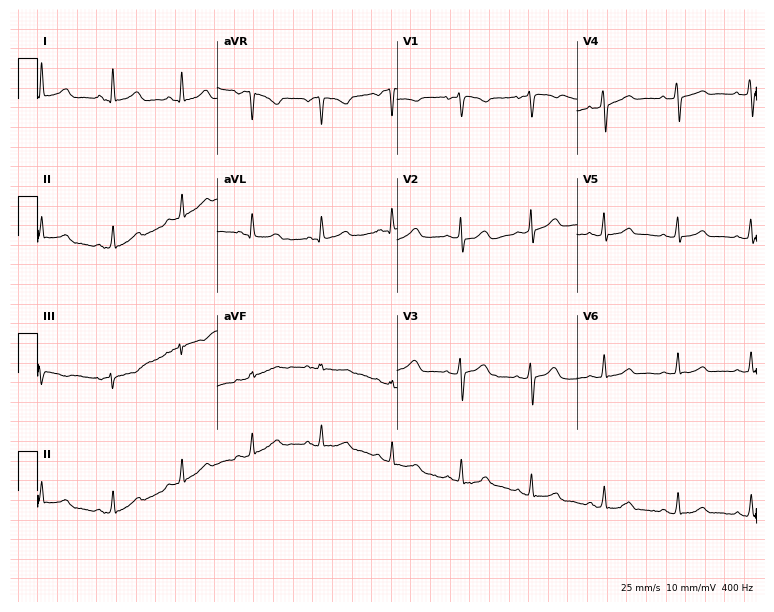
12-lead ECG from a female patient, 40 years old (7.3-second recording at 400 Hz). No first-degree AV block, right bundle branch block (RBBB), left bundle branch block (LBBB), sinus bradycardia, atrial fibrillation (AF) or sinus tachycardia recorded for this tracing.